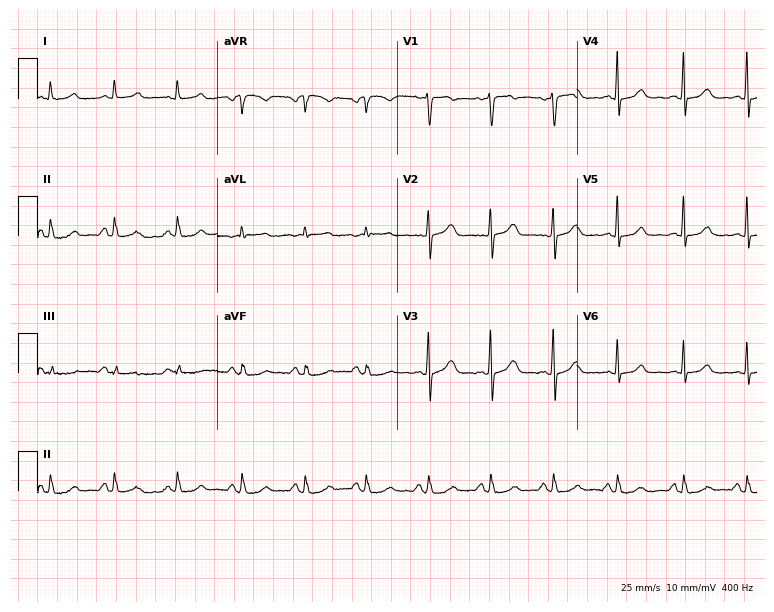
Resting 12-lead electrocardiogram. Patient: a 44-year-old female. None of these six findings is recorded: first-degree AV block, right bundle branch block, left bundle branch block, sinus bradycardia, atrial fibrillation, sinus tachycardia. Findings outside these six are not listed.